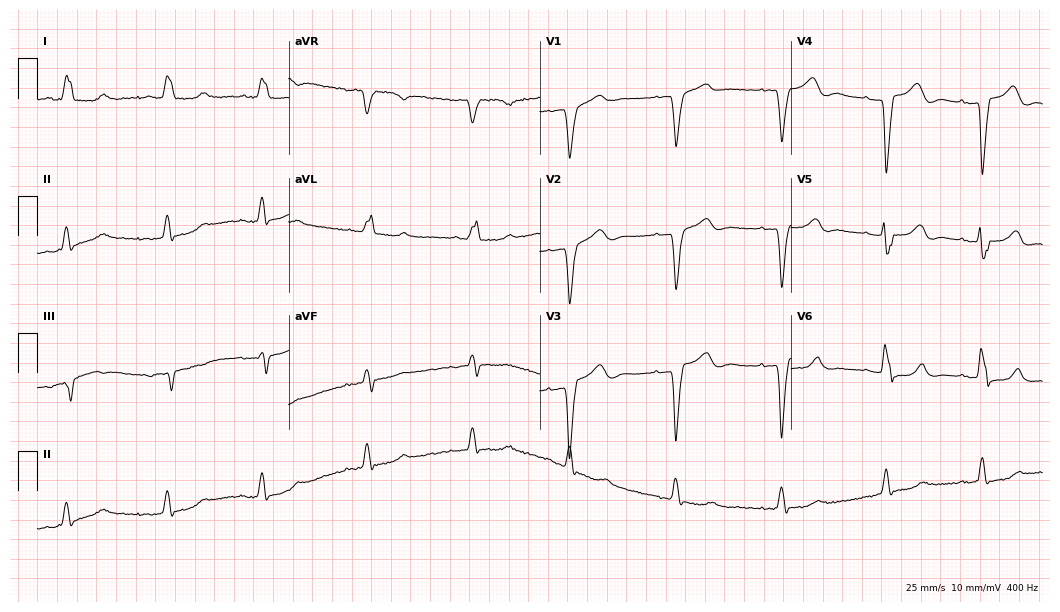
Standard 12-lead ECG recorded from an 81-year-old female patient. None of these six findings is recorded: first-degree AV block, right bundle branch block, left bundle branch block, sinus bradycardia, atrial fibrillation, sinus tachycardia.